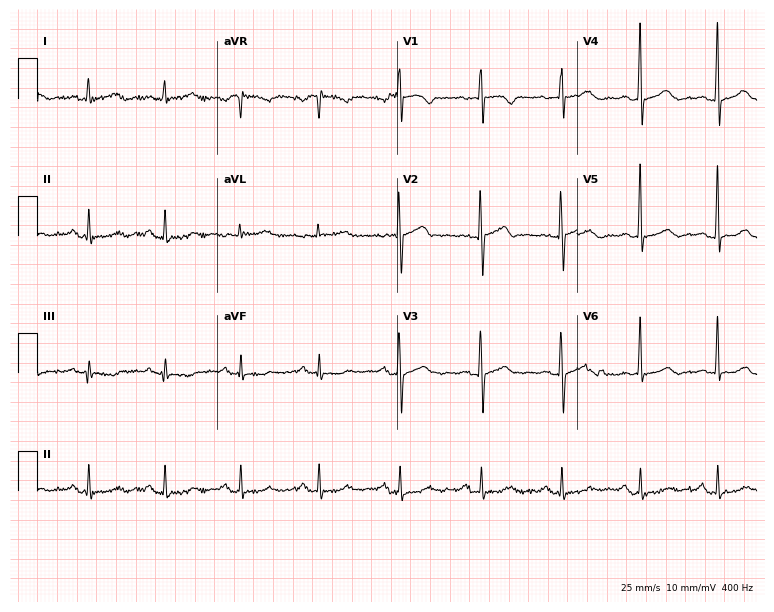
12-lead ECG from a 67-year-old female patient (7.3-second recording at 400 Hz). No first-degree AV block, right bundle branch block, left bundle branch block, sinus bradycardia, atrial fibrillation or sinus tachycardia recorded for this tracing.